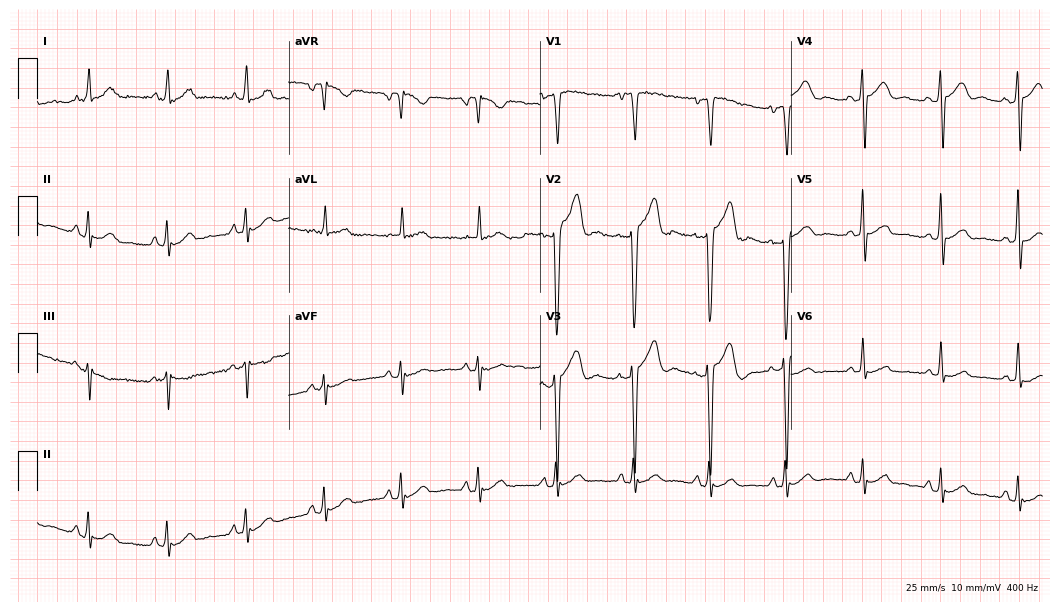
ECG (10.2-second recording at 400 Hz) — a man, 46 years old. Labelled as a normal ECG.